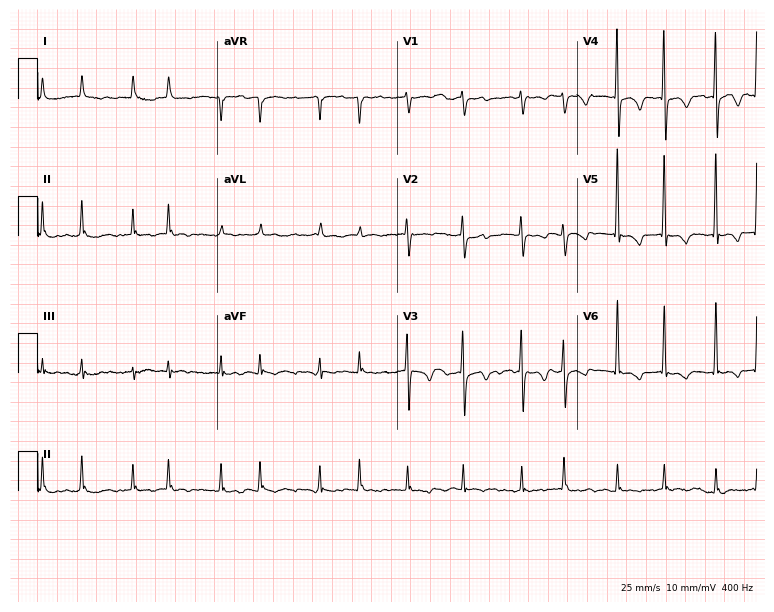
12-lead ECG from an 83-year-old woman. Shows atrial fibrillation.